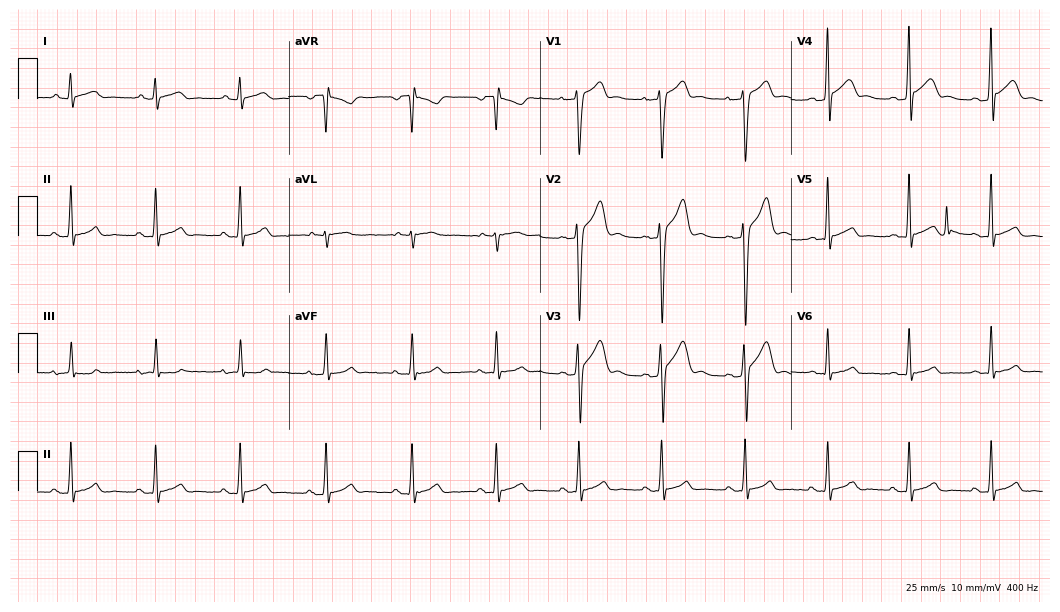
Resting 12-lead electrocardiogram. Patient: a male, 24 years old. Read as a normal ECG.